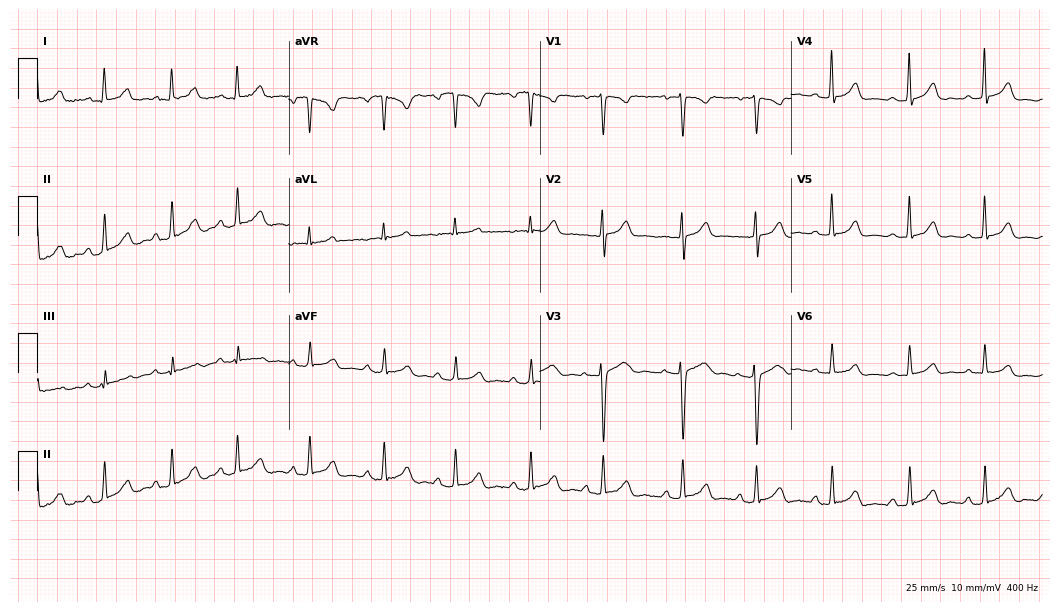
Resting 12-lead electrocardiogram (10.2-second recording at 400 Hz). Patient: a 20-year-old female. Read as a normal ECG.